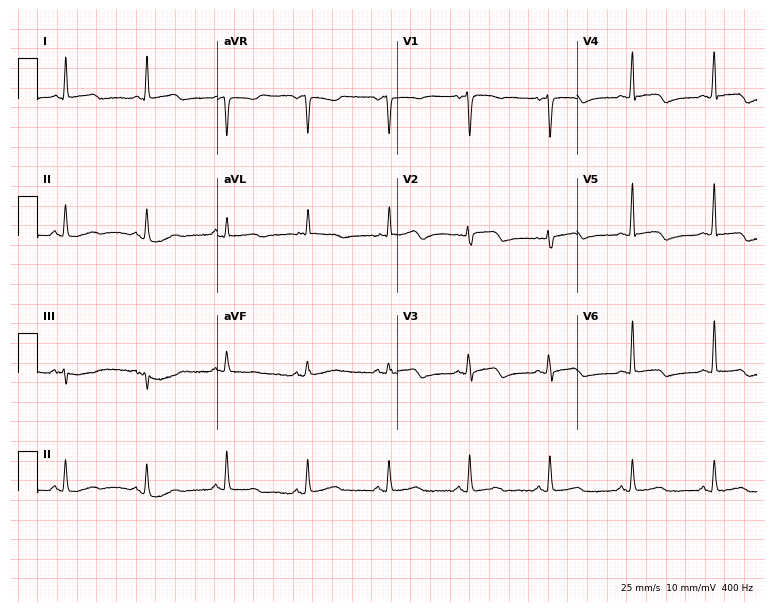
12-lead ECG from a female, 73 years old. Screened for six findings — first-degree AV block, right bundle branch block (RBBB), left bundle branch block (LBBB), sinus bradycardia, atrial fibrillation (AF), sinus tachycardia — none is recorded. Other findings, if any, are not listed.